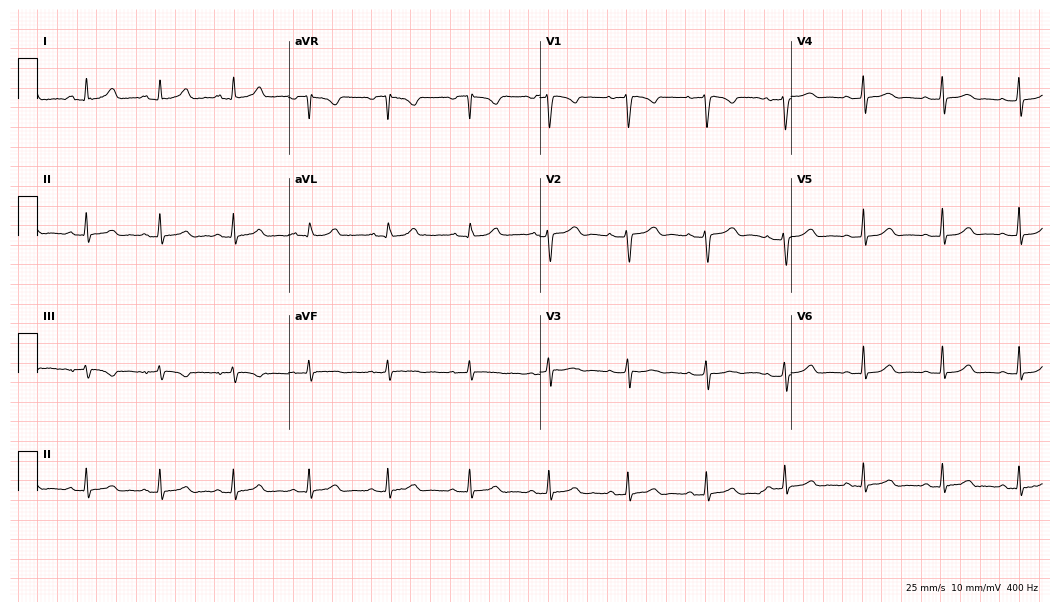
Standard 12-lead ECG recorded from a female, 20 years old. Read as a normal ECG.